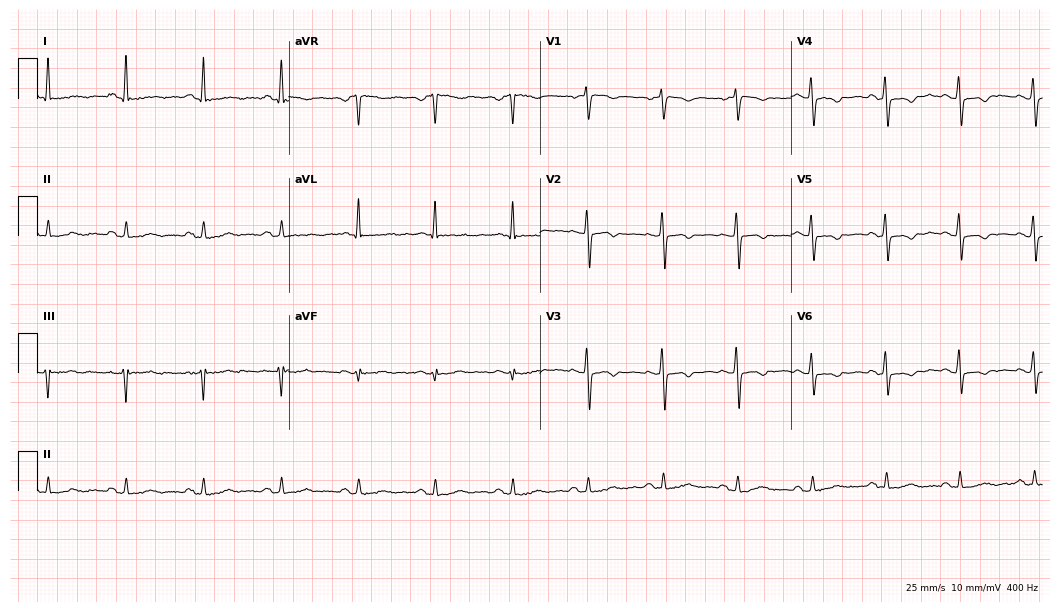
Standard 12-lead ECG recorded from a female, 57 years old (10.2-second recording at 400 Hz). None of these six findings is recorded: first-degree AV block, right bundle branch block, left bundle branch block, sinus bradycardia, atrial fibrillation, sinus tachycardia. Findings outside these six are not listed.